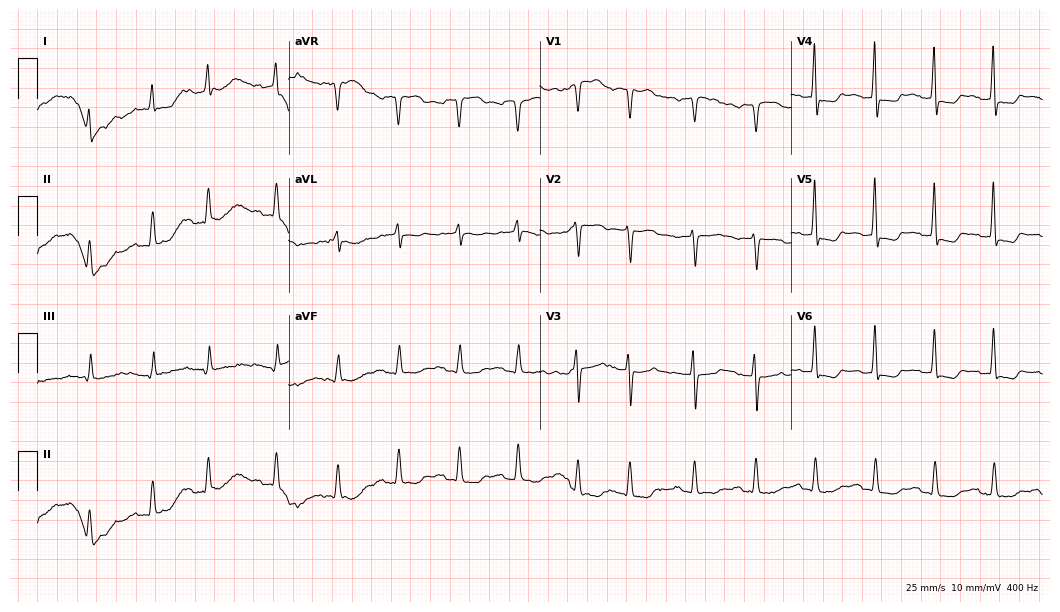
Electrocardiogram (10.2-second recording at 400 Hz), a male, 81 years old. Of the six screened findings (first-degree AV block, right bundle branch block (RBBB), left bundle branch block (LBBB), sinus bradycardia, atrial fibrillation (AF), sinus tachycardia), none is recorded.